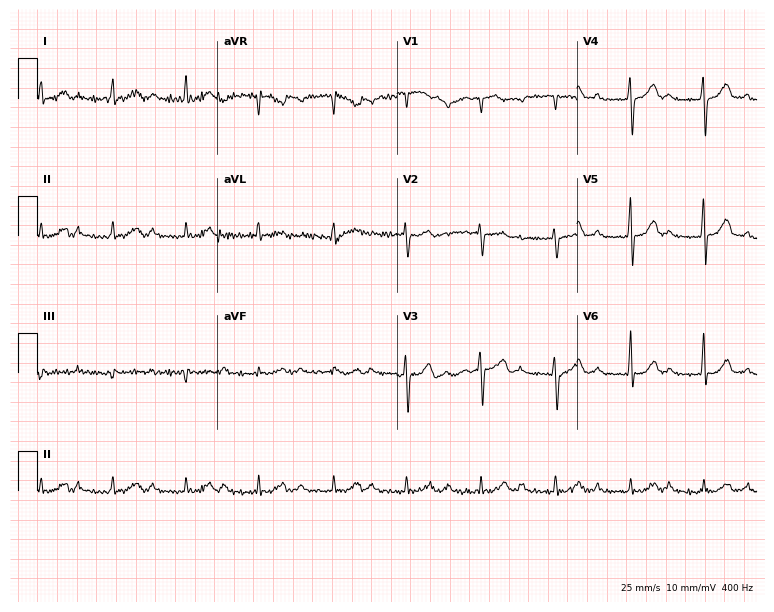
Standard 12-lead ECG recorded from a 76-year-old male (7.3-second recording at 400 Hz). None of these six findings is recorded: first-degree AV block, right bundle branch block (RBBB), left bundle branch block (LBBB), sinus bradycardia, atrial fibrillation (AF), sinus tachycardia.